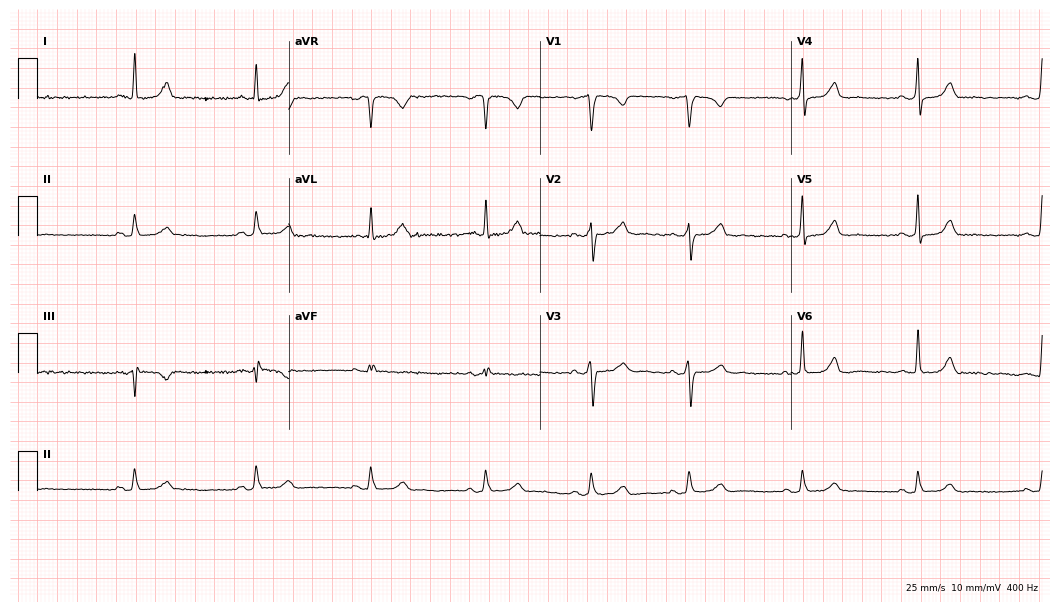
Standard 12-lead ECG recorded from a female patient, 31 years old (10.2-second recording at 400 Hz). Read as a normal ECG.